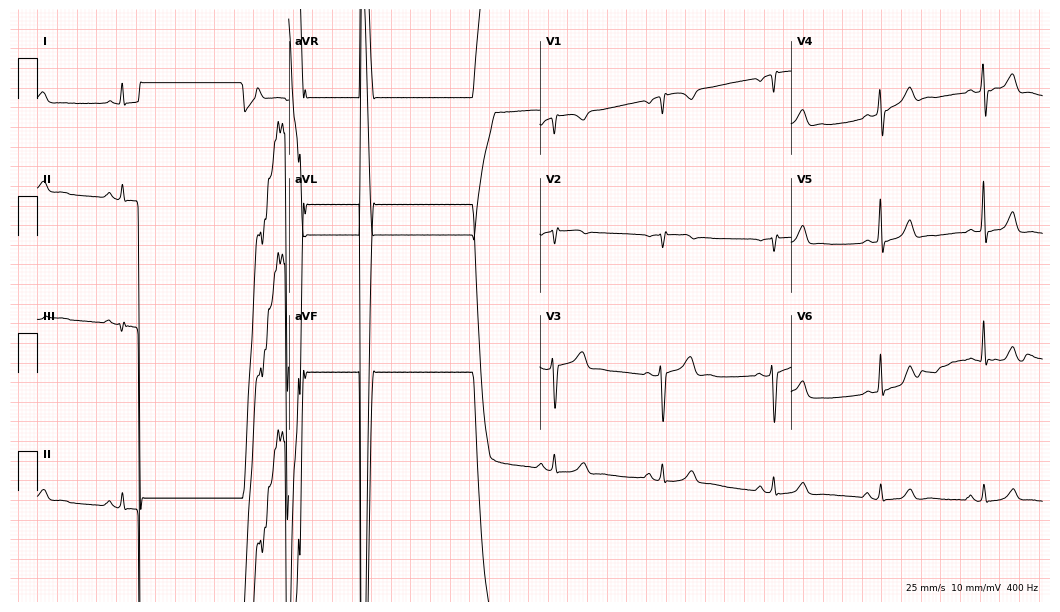
12-lead ECG from a man, 56 years old (10.2-second recording at 400 Hz). No first-degree AV block, right bundle branch block (RBBB), left bundle branch block (LBBB), sinus bradycardia, atrial fibrillation (AF) or sinus tachycardia recorded for this tracing. Findings outside these six are not listed.